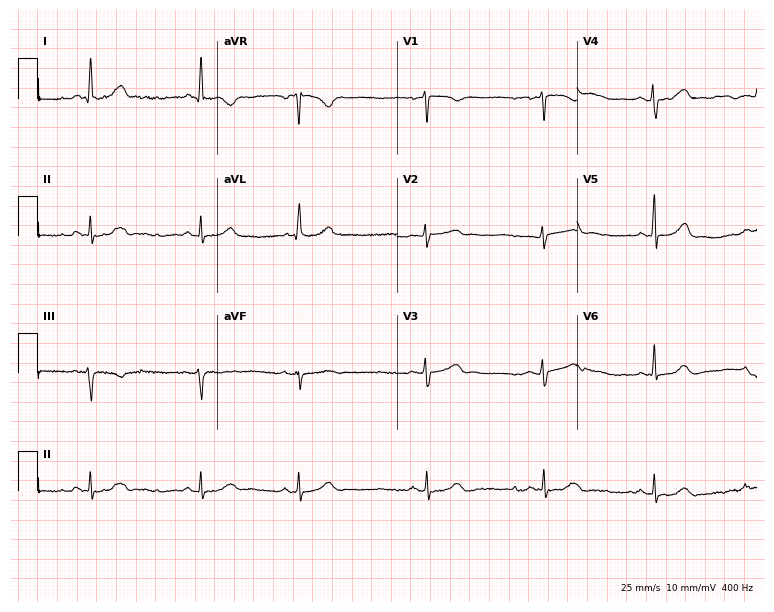
12-lead ECG from a female patient, 45 years old. Recorded interpretation: within normal limits.